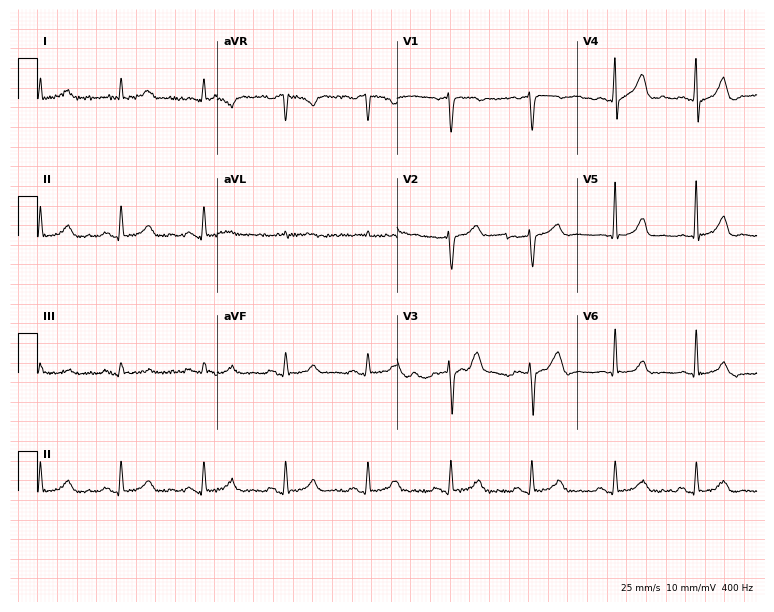
Resting 12-lead electrocardiogram (7.3-second recording at 400 Hz). Patient: a male, 72 years old. None of these six findings is recorded: first-degree AV block, right bundle branch block, left bundle branch block, sinus bradycardia, atrial fibrillation, sinus tachycardia. Only these six findings were labelled.